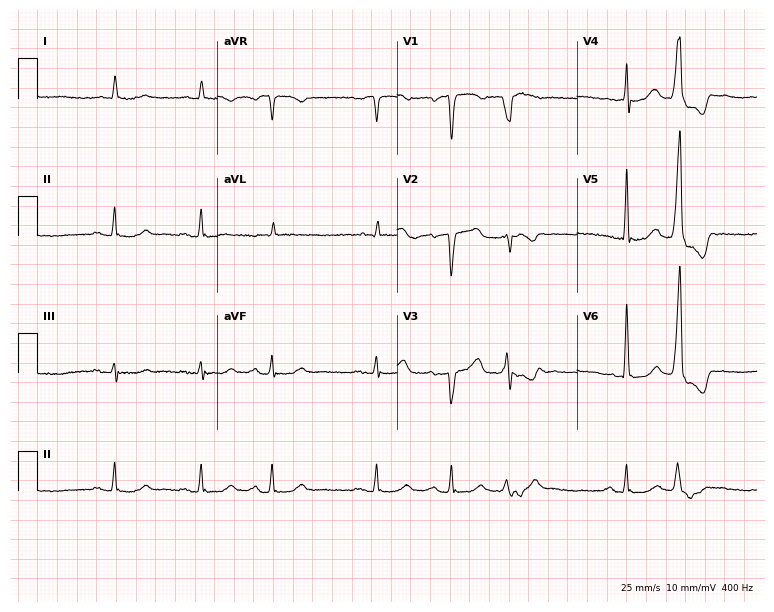
Electrocardiogram, a male, 74 years old. Overall reading on record: normal ECG.